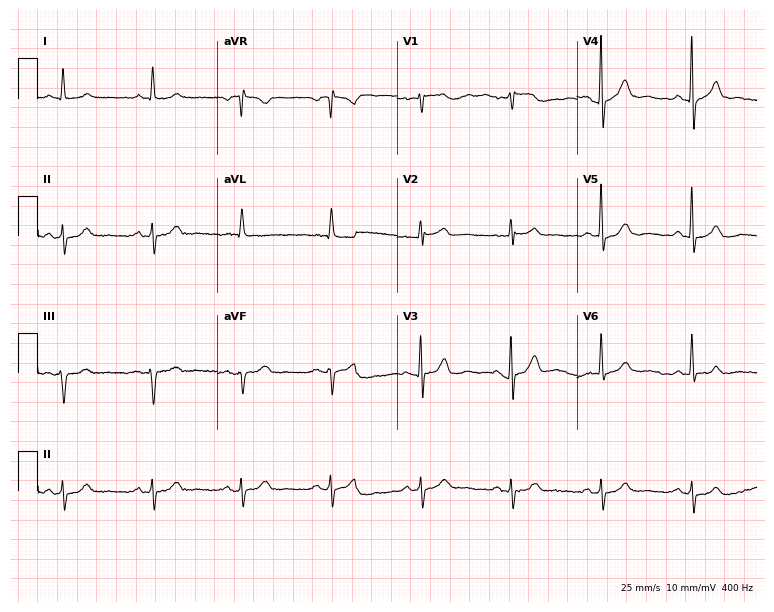
Electrocardiogram (7.3-second recording at 400 Hz), a man, 73 years old. Of the six screened findings (first-degree AV block, right bundle branch block, left bundle branch block, sinus bradycardia, atrial fibrillation, sinus tachycardia), none is recorded. Only these six findings were labelled.